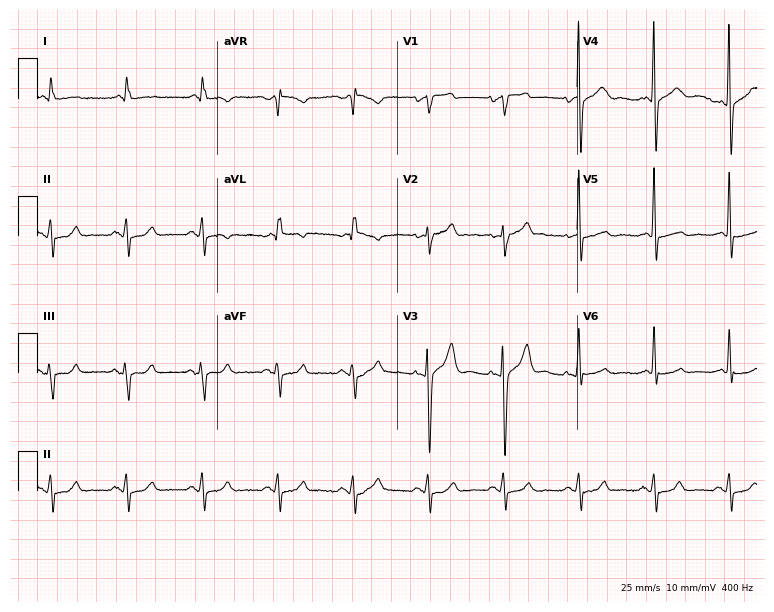
12-lead ECG from a male, 68 years old (7.3-second recording at 400 Hz). No first-degree AV block, right bundle branch block, left bundle branch block, sinus bradycardia, atrial fibrillation or sinus tachycardia recorded for this tracing. Only these six findings were labelled.